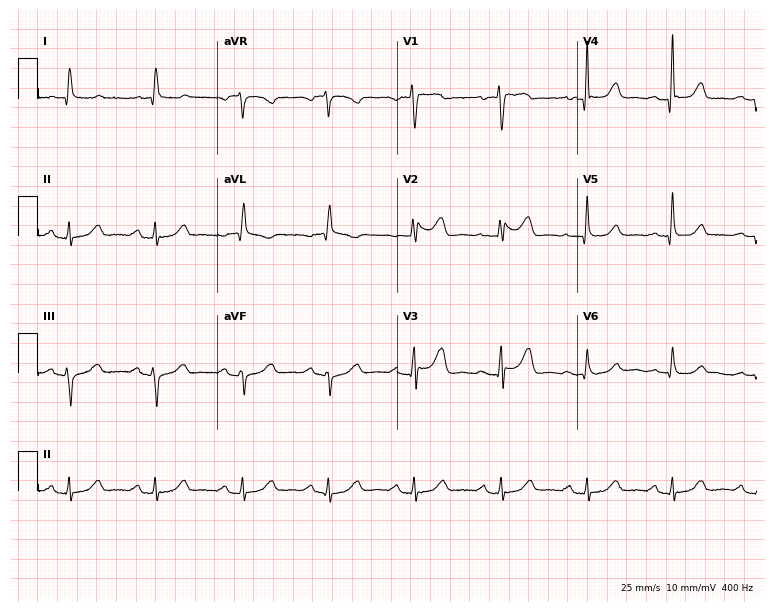
Standard 12-lead ECG recorded from a female, 77 years old. None of these six findings is recorded: first-degree AV block, right bundle branch block, left bundle branch block, sinus bradycardia, atrial fibrillation, sinus tachycardia.